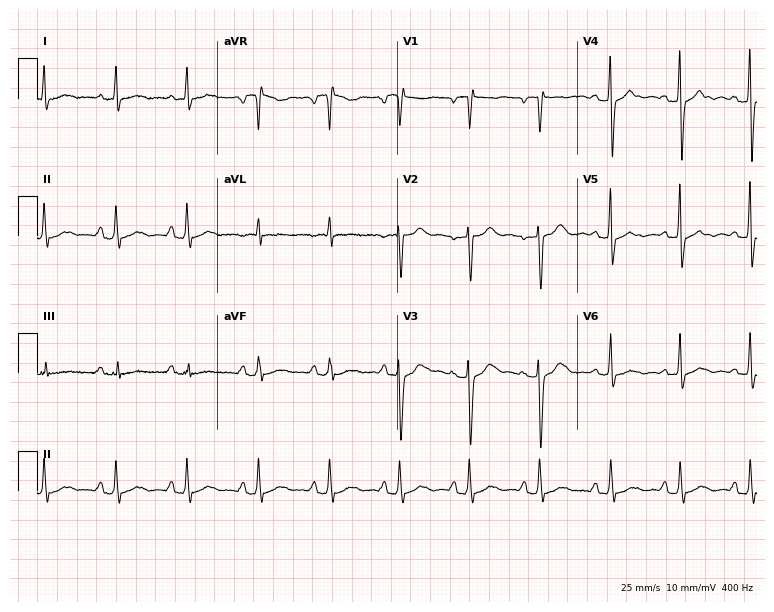
Resting 12-lead electrocardiogram (7.3-second recording at 400 Hz). Patient: a woman, 45 years old. None of these six findings is recorded: first-degree AV block, right bundle branch block (RBBB), left bundle branch block (LBBB), sinus bradycardia, atrial fibrillation (AF), sinus tachycardia. Other findings, if any, are not listed.